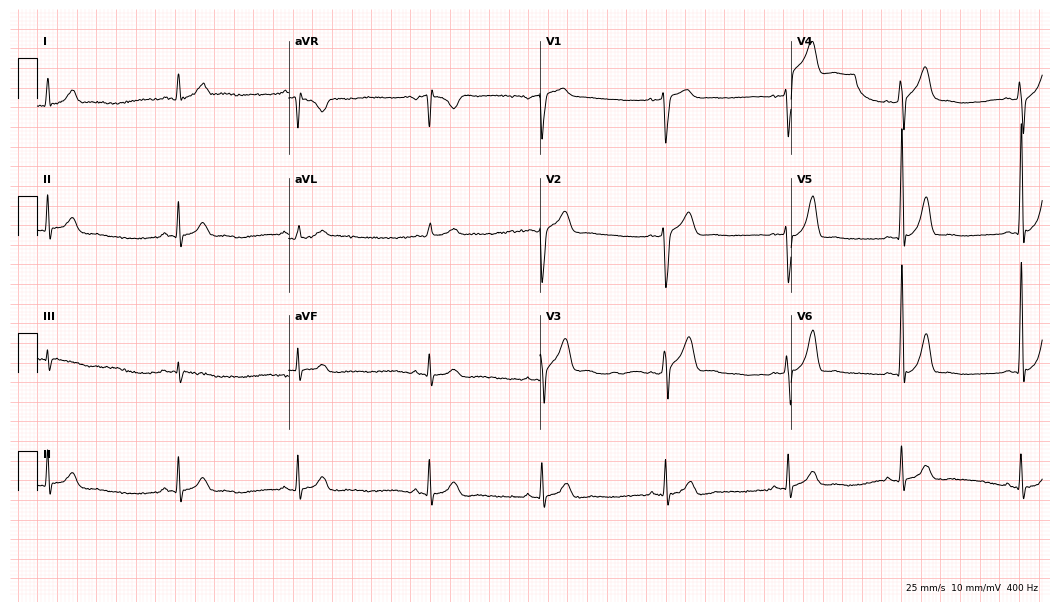
ECG — a 36-year-old man. Findings include sinus bradycardia (a sinus rate of 50 beats per minute or less).